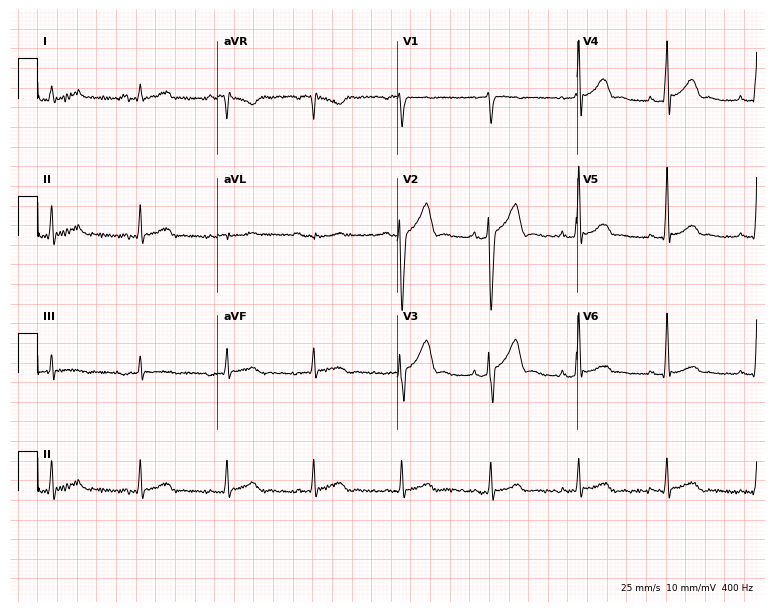
ECG (7.3-second recording at 400 Hz) — a 33-year-old male patient. Labelled as a normal ECG.